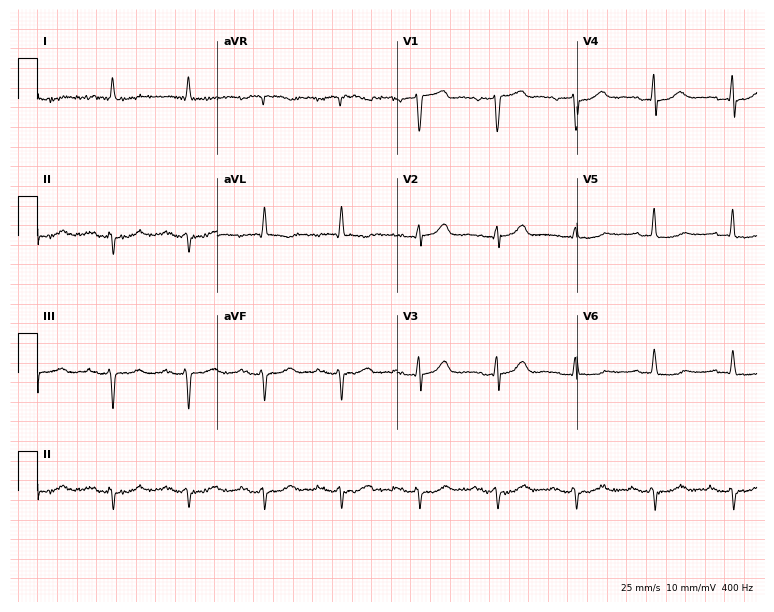
Standard 12-lead ECG recorded from a 78-year-old male patient. None of these six findings is recorded: first-degree AV block, right bundle branch block (RBBB), left bundle branch block (LBBB), sinus bradycardia, atrial fibrillation (AF), sinus tachycardia.